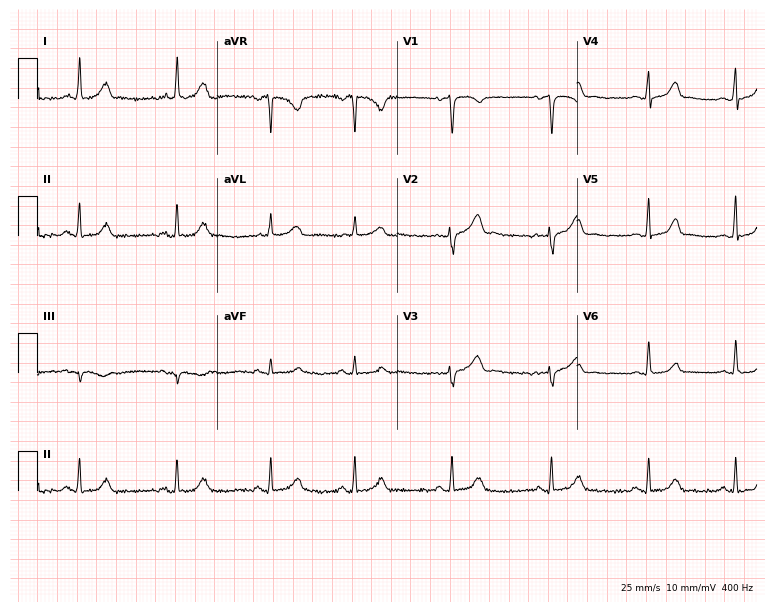
Standard 12-lead ECG recorded from a 34-year-old female patient. Read as a normal ECG.